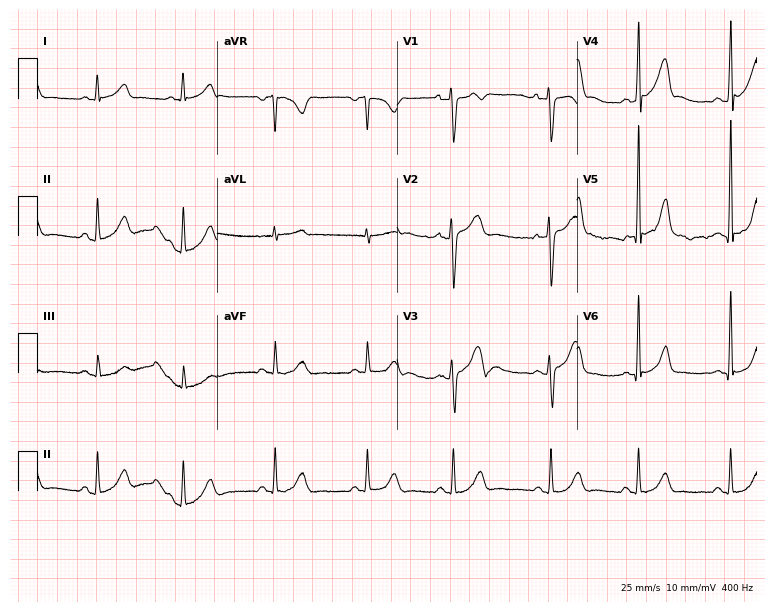
Resting 12-lead electrocardiogram (7.3-second recording at 400 Hz). Patient: a male, 20 years old. None of these six findings is recorded: first-degree AV block, right bundle branch block (RBBB), left bundle branch block (LBBB), sinus bradycardia, atrial fibrillation (AF), sinus tachycardia.